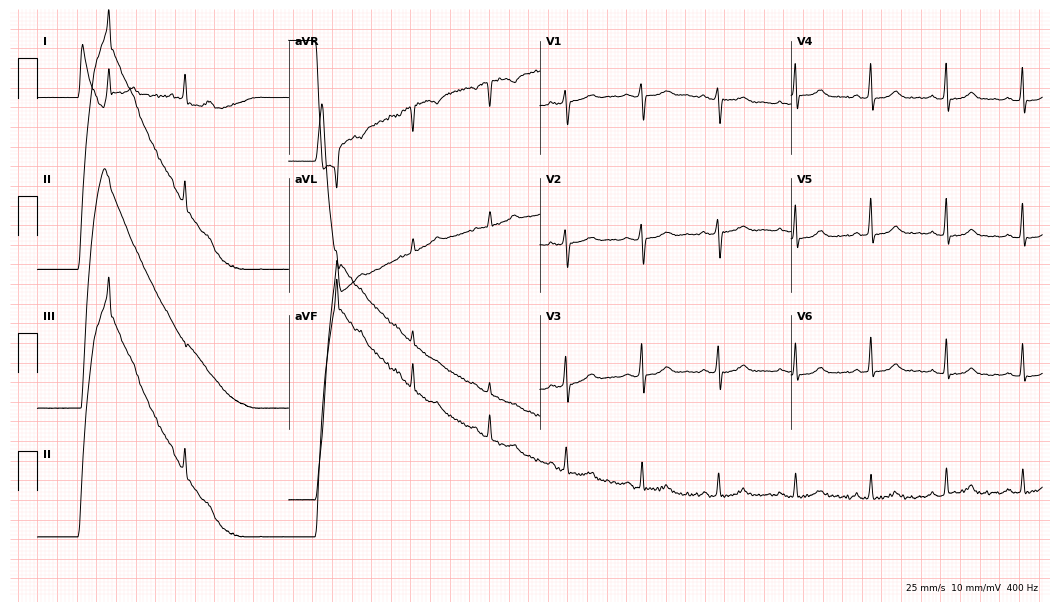
ECG — a woman, 58 years old. Screened for six findings — first-degree AV block, right bundle branch block (RBBB), left bundle branch block (LBBB), sinus bradycardia, atrial fibrillation (AF), sinus tachycardia — none is recorded. Findings outside these six are not listed.